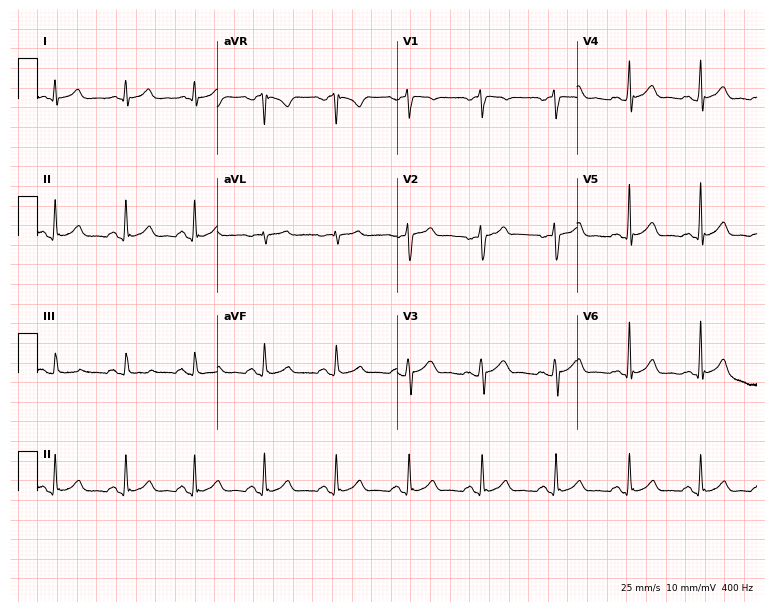
ECG (7.3-second recording at 400 Hz) — a male, 39 years old. Screened for six findings — first-degree AV block, right bundle branch block (RBBB), left bundle branch block (LBBB), sinus bradycardia, atrial fibrillation (AF), sinus tachycardia — none is recorded. Findings outside these six are not listed.